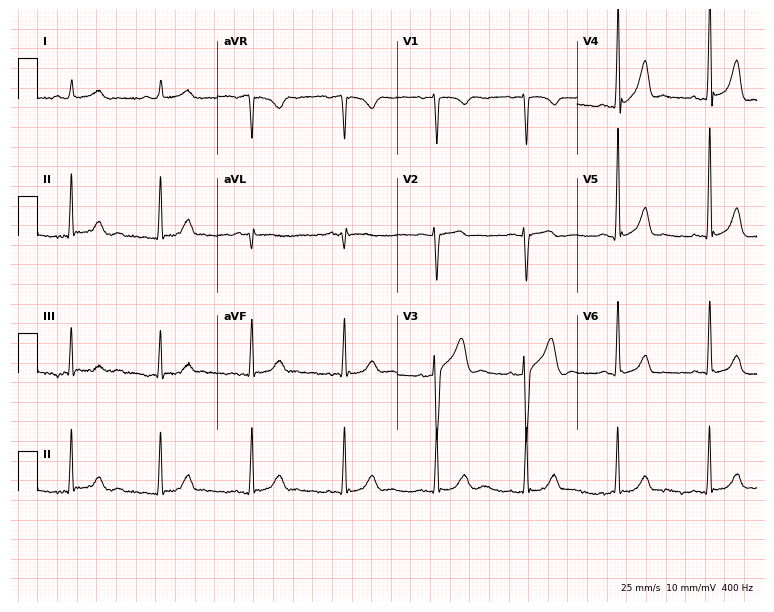
Standard 12-lead ECG recorded from a male, 35 years old (7.3-second recording at 400 Hz). None of these six findings is recorded: first-degree AV block, right bundle branch block, left bundle branch block, sinus bradycardia, atrial fibrillation, sinus tachycardia. Other findings, if any, are not listed.